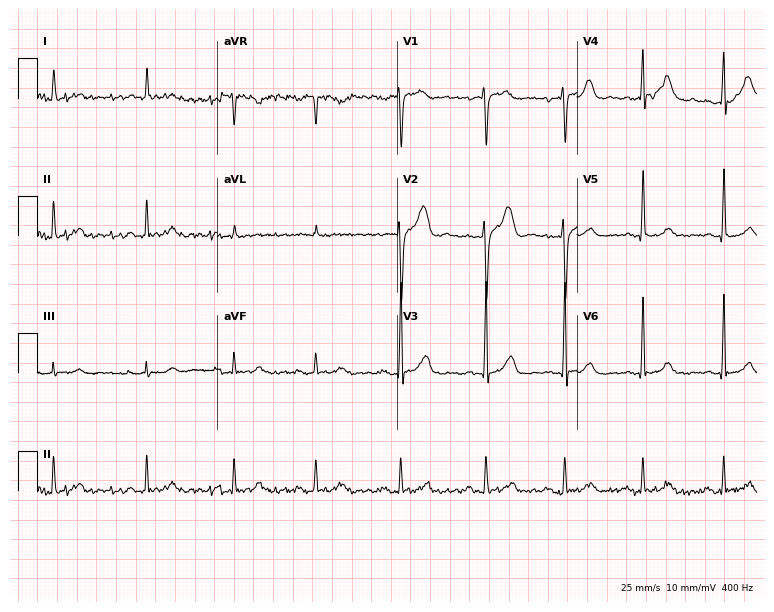
12-lead ECG from a 63-year-old male patient. No first-degree AV block, right bundle branch block, left bundle branch block, sinus bradycardia, atrial fibrillation or sinus tachycardia recorded for this tracing. Only these six findings were labelled.